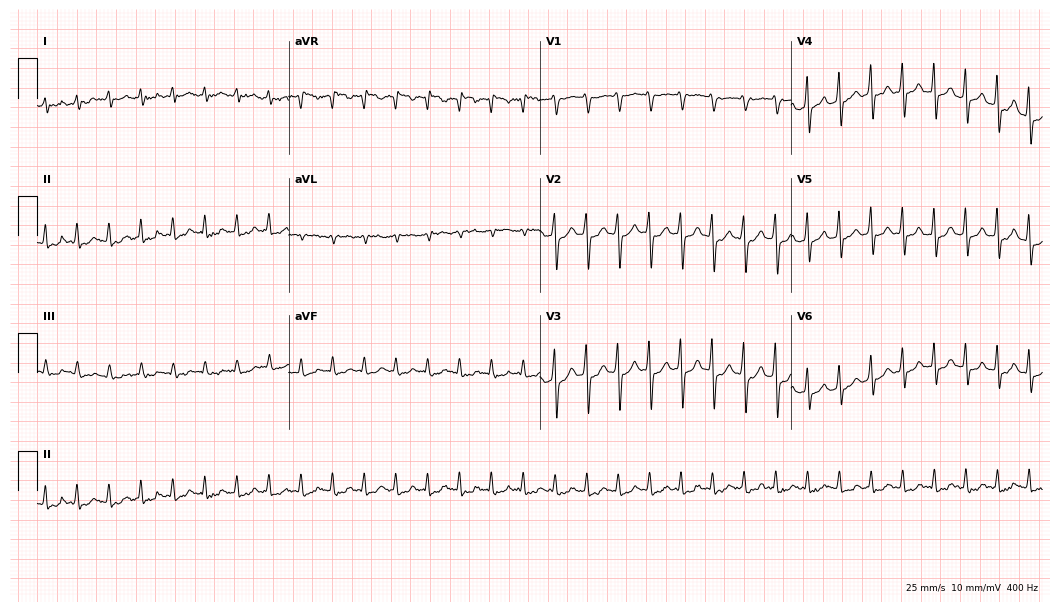
ECG — a 59-year-old man. Screened for six findings — first-degree AV block, right bundle branch block (RBBB), left bundle branch block (LBBB), sinus bradycardia, atrial fibrillation (AF), sinus tachycardia — none is recorded. Other findings, if any, are not listed.